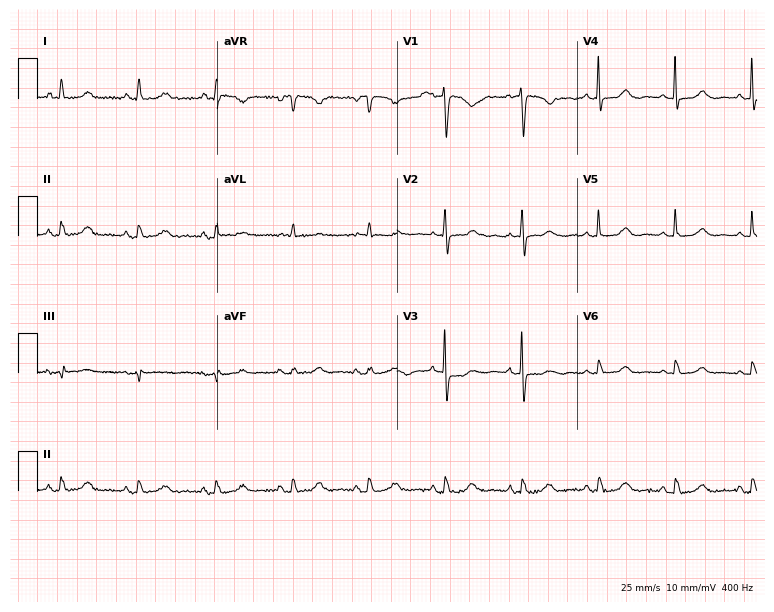
12-lead ECG from a 77-year-old female (7.3-second recording at 400 Hz). Recorded interpretation: within normal limits.